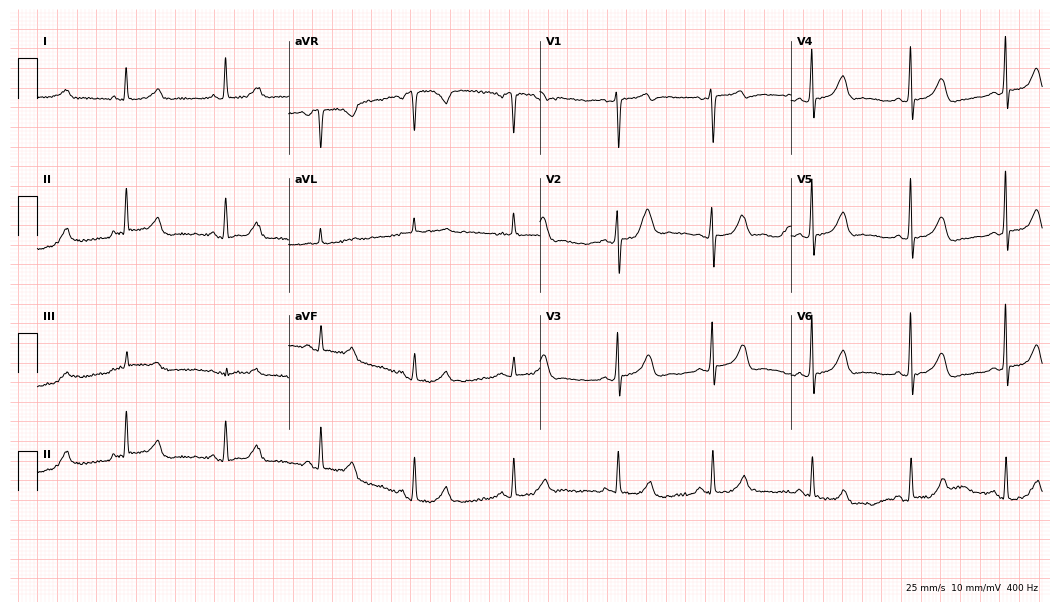
Resting 12-lead electrocardiogram (10.2-second recording at 400 Hz). Patient: a 68-year-old woman. Read as a normal ECG.